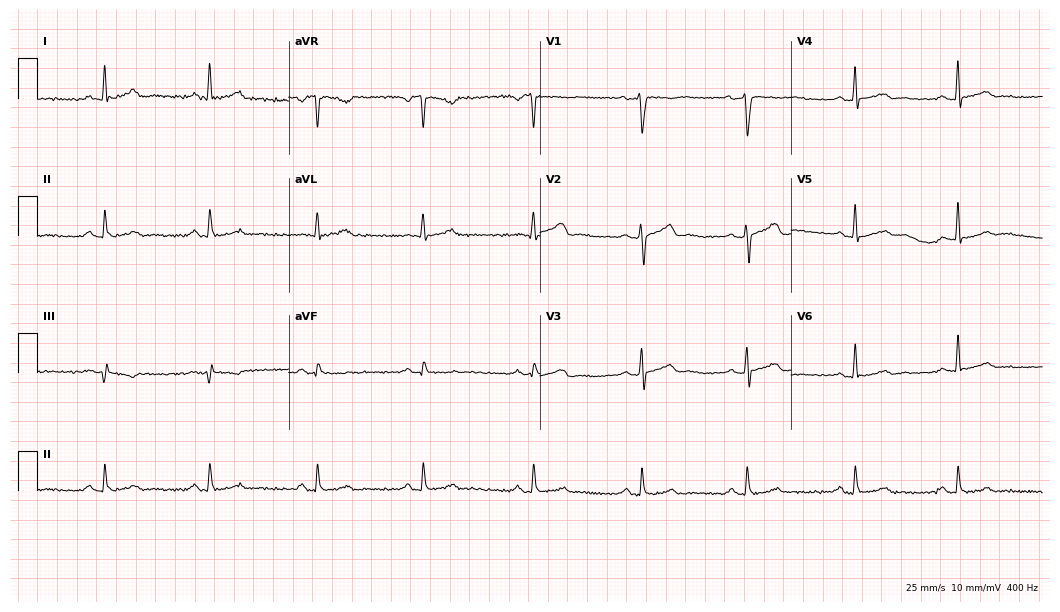
ECG (10.2-second recording at 400 Hz) — a 59-year-old man. Labelled as a normal ECG.